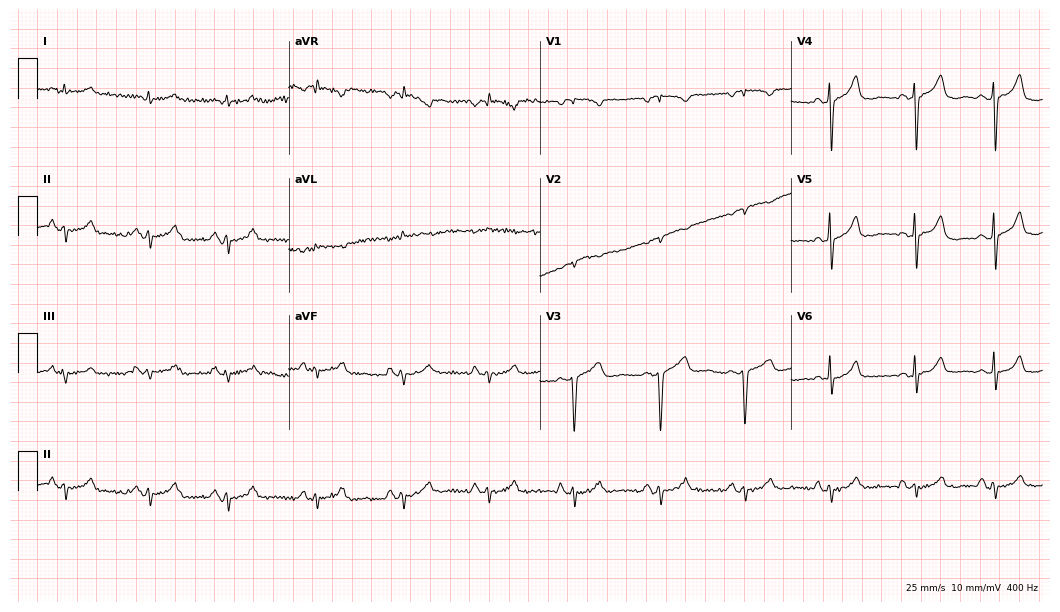
Standard 12-lead ECG recorded from a man, 54 years old (10.2-second recording at 400 Hz). None of these six findings is recorded: first-degree AV block, right bundle branch block, left bundle branch block, sinus bradycardia, atrial fibrillation, sinus tachycardia.